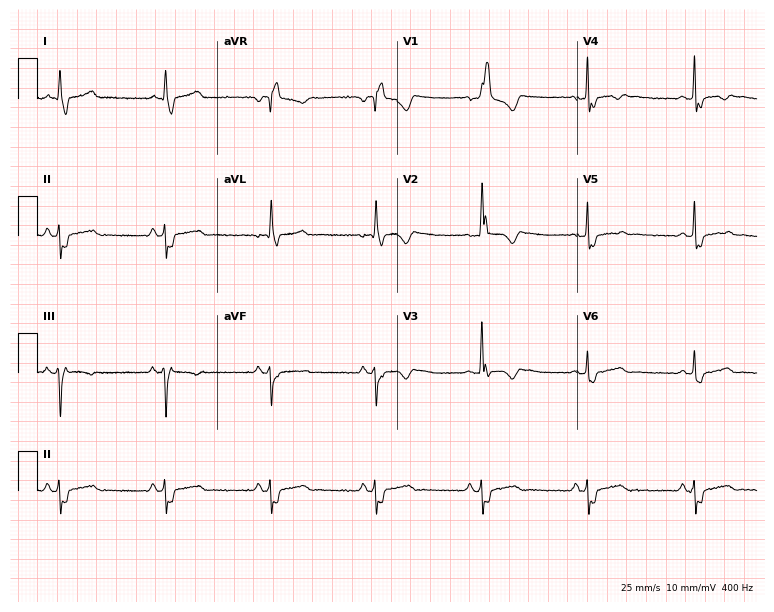
Resting 12-lead electrocardiogram. Patient: a male, 60 years old. The tracing shows right bundle branch block.